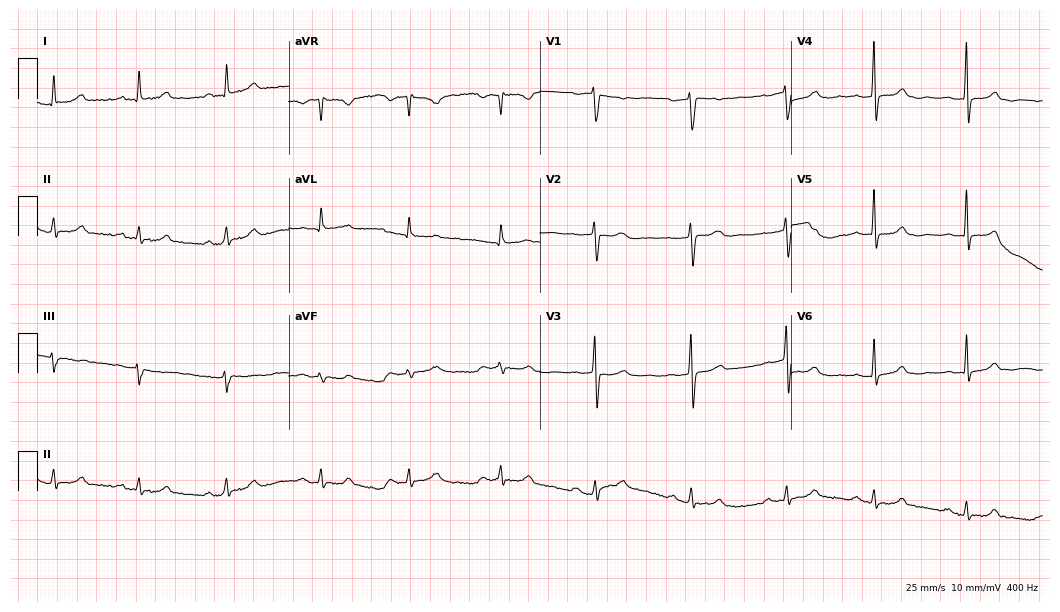
Resting 12-lead electrocardiogram. Patient: a female, 57 years old. None of these six findings is recorded: first-degree AV block, right bundle branch block (RBBB), left bundle branch block (LBBB), sinus bradycardia, atrial fibrillation (AF), sinus tachycardia. Findings outside these six are not listed.